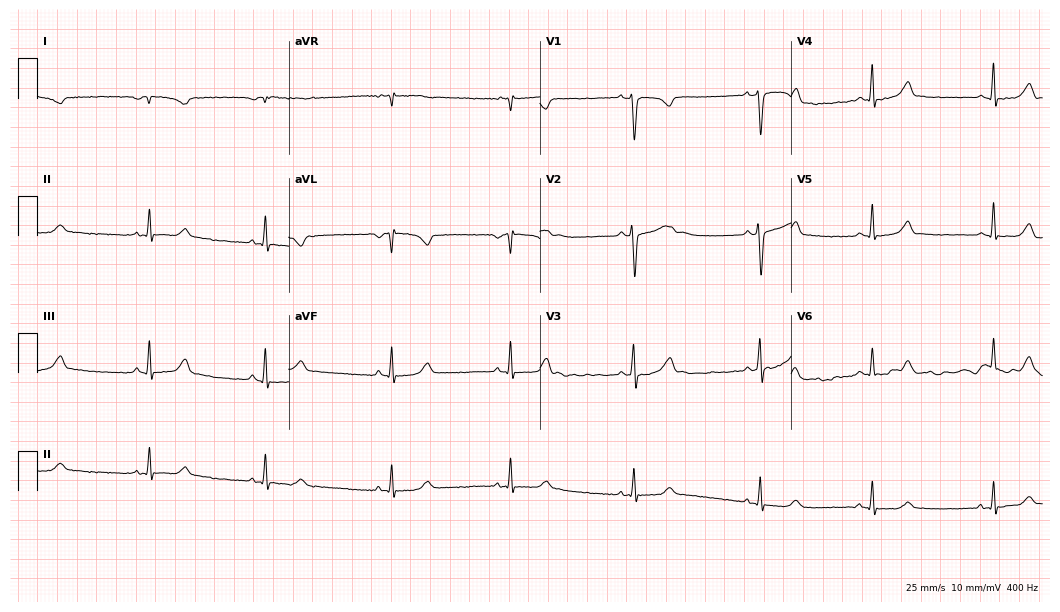
12-lead ECG from a female, 22 years old. Screened for six findings — first-degree AV block, right bundle branch block, left bundle branch block, sinus bradycardia, atrial fibrillation, sinus tachycardia — none is recorded.